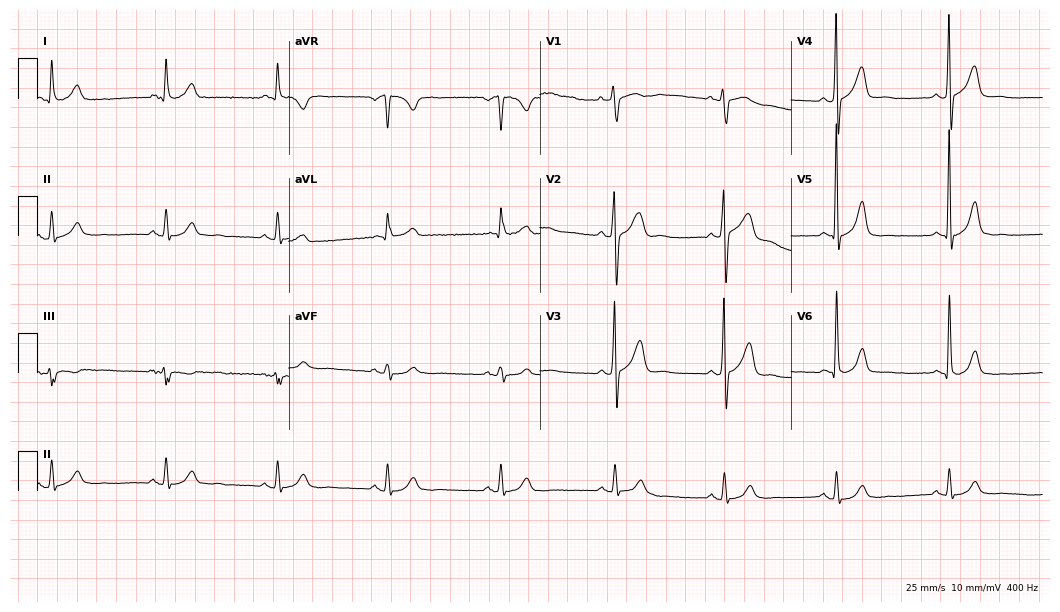
ECG — a male, 52 years old. Labelled as a normal ECG.